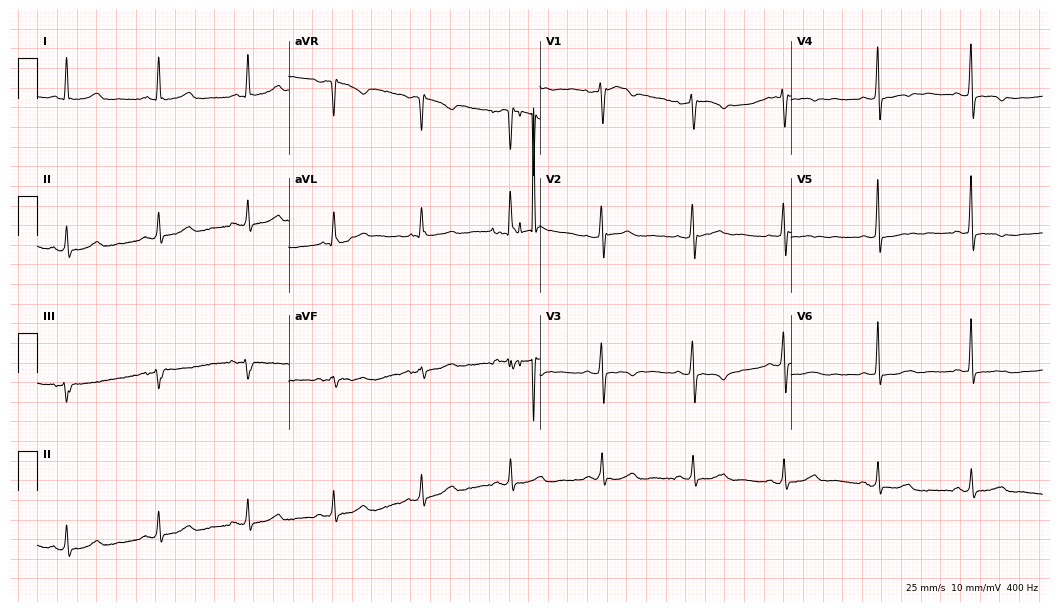
12-lead ECG from a female, 59 years old. Screened for six findings — first-degree AV block, right bundle branch block, left bundle branch block, sinus bradycardia, atrial fibrillation, sinus tachycardia — none is recorded.